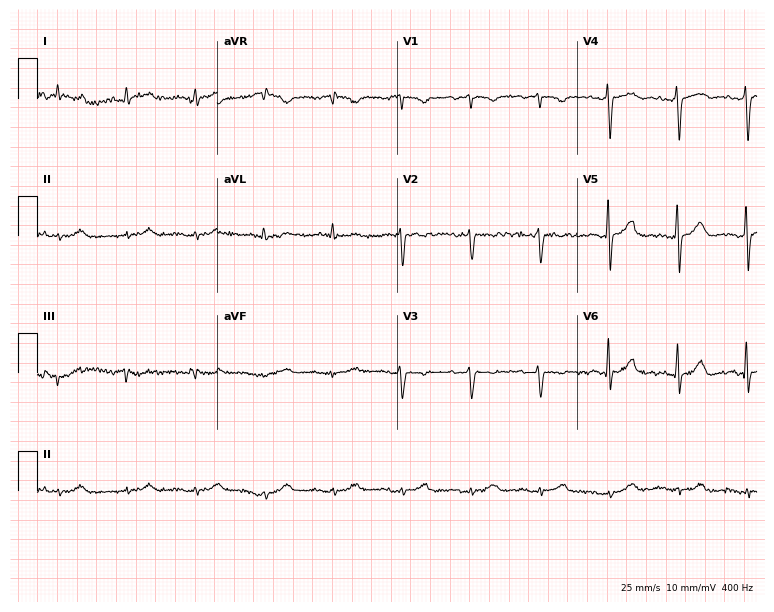
Electrocardiogram (7.3-second recording at 400 Hz), a 59-year-old male patient. Of the six screened findings (first-degree AV block, right bundle branch block (RBBB), left bundle branch block (LBBB), sinus bradycardia, atrial fibrillation (AF), sinus tachycardia), none is recorded.